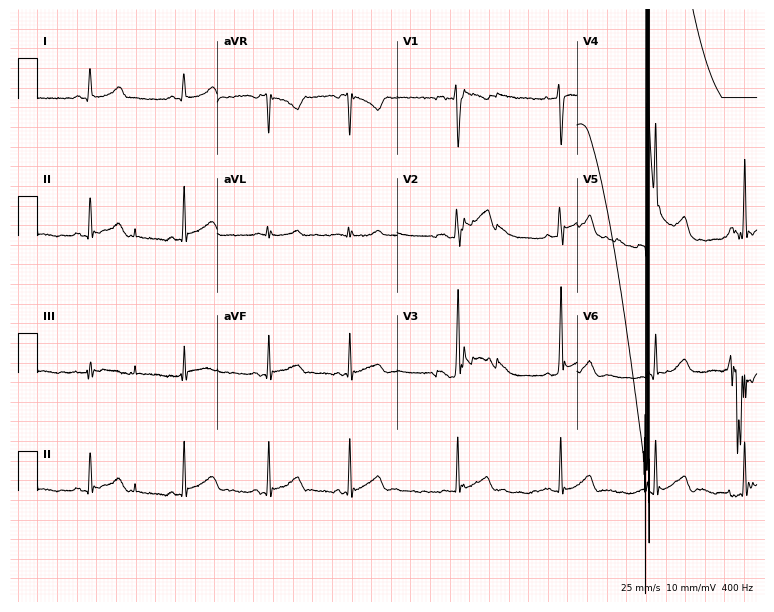
12-lead ECG (7.3-second recording at 400 Hz) from a 17-year-old male patient. Screened for six findings — first-degree AV block, right bundle branch block, left bundle branch block, sinus bradycardia, atrial fibrillation, sinus tachycardia — none is recorded. Findings outside these six are not listed.